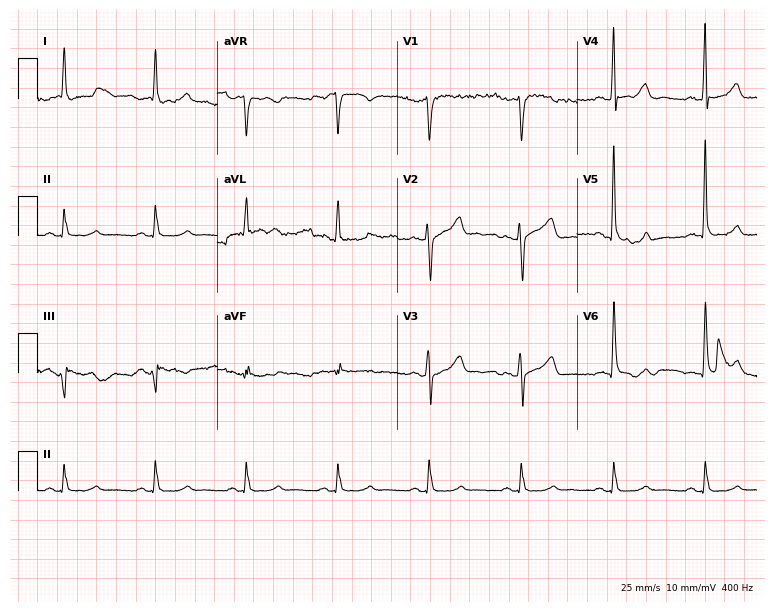
12-lead ECG (7.3-second recording at 400 Hz) from a 77-year-old man. Screened for six findings — first-degree AV block, right bundle branch block, left bundle branch block, sinus bradycardia, atrial fibrillation, sinus tachycardia — none is recorded. Findings outside these six are not listed.